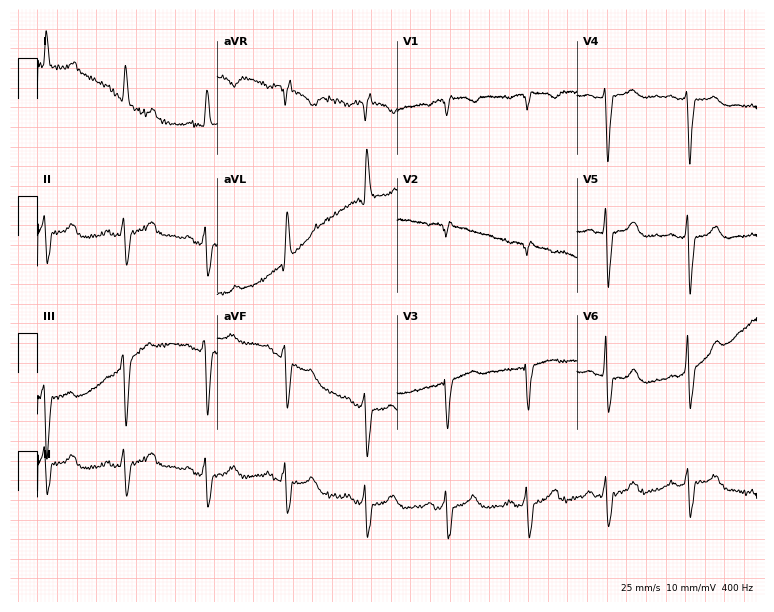
12-lead ECG from a woman, 65 years old. No first-degree AV block, right bundle branch block (RBBB), left bundle branch block (LBBB), sinus bradycardia, atrial fibrillation (AF) or sinus tachycardia recorded for this tracing. Only these six findings were labelled.